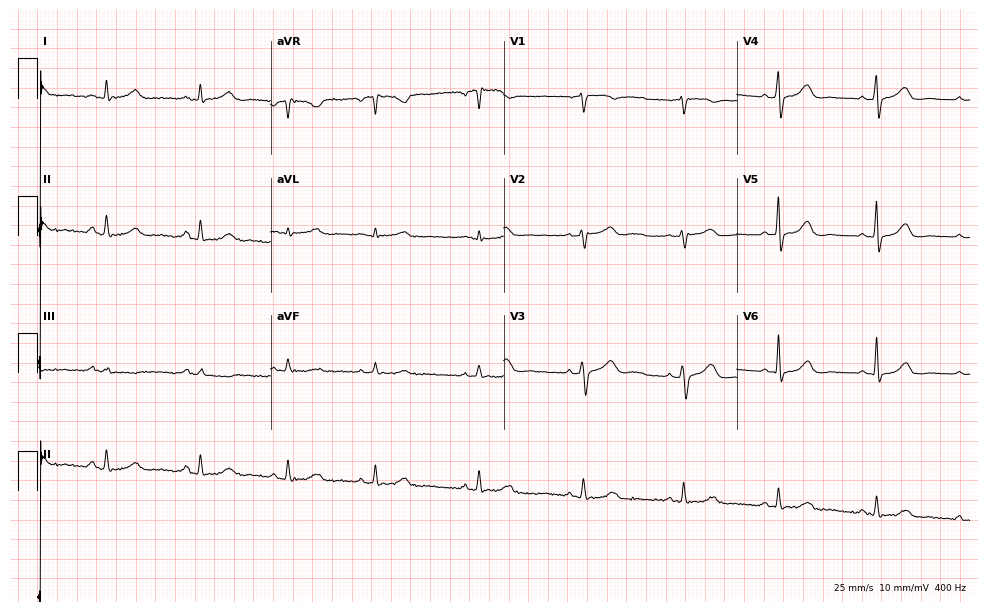
Resting 12-lead electrocardiogram (9.5-second recording at 400 Hz). Patient: a woman, 52 years old. Read as a normal ECG.